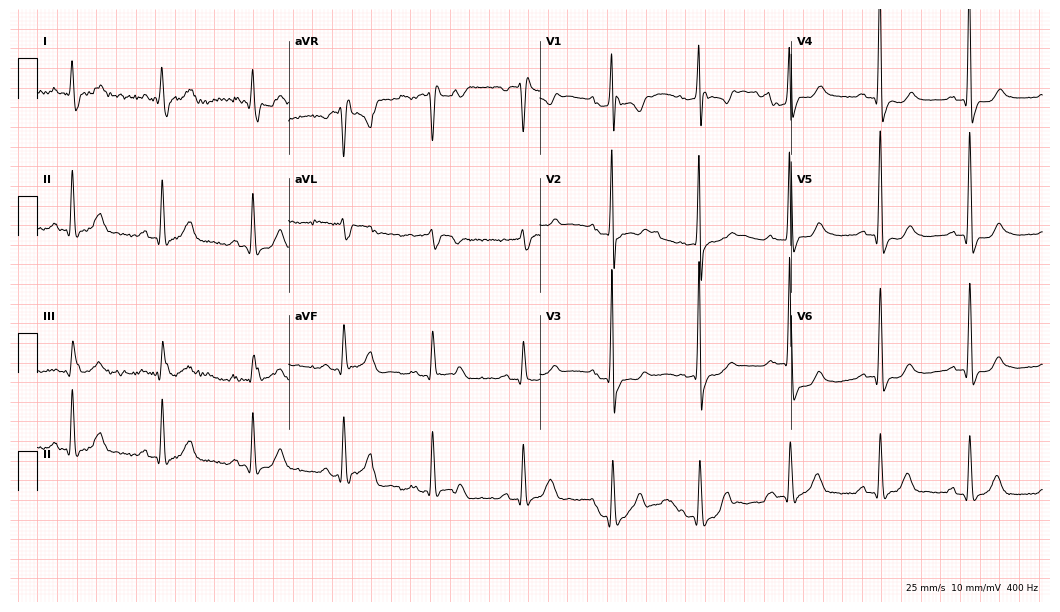
ECG — a man, 82 years old. Findings include right bundle branch block.